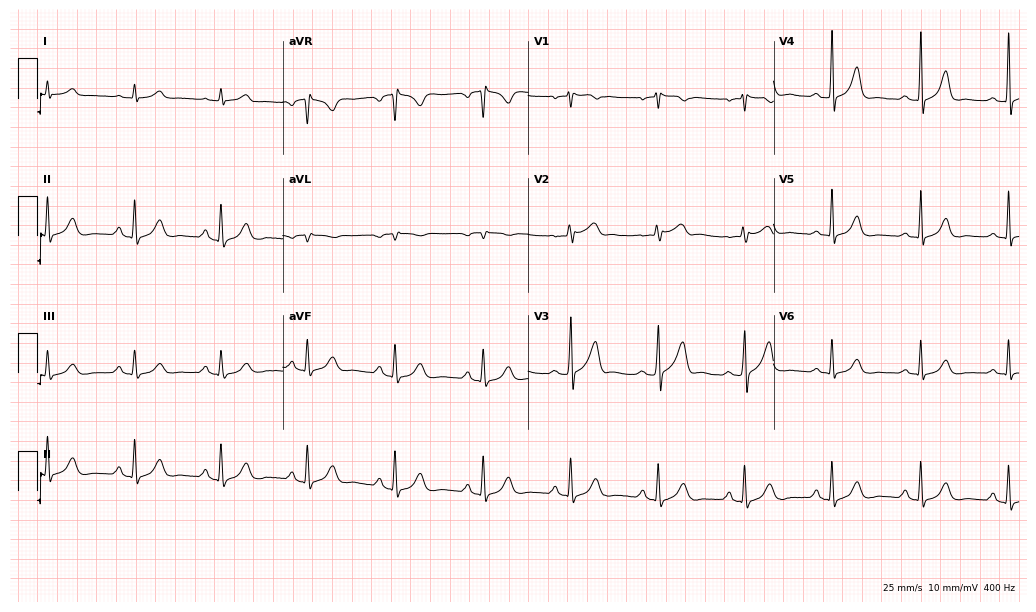
ECG — a 64-year-old male patient. Labelled as a normal ECG.